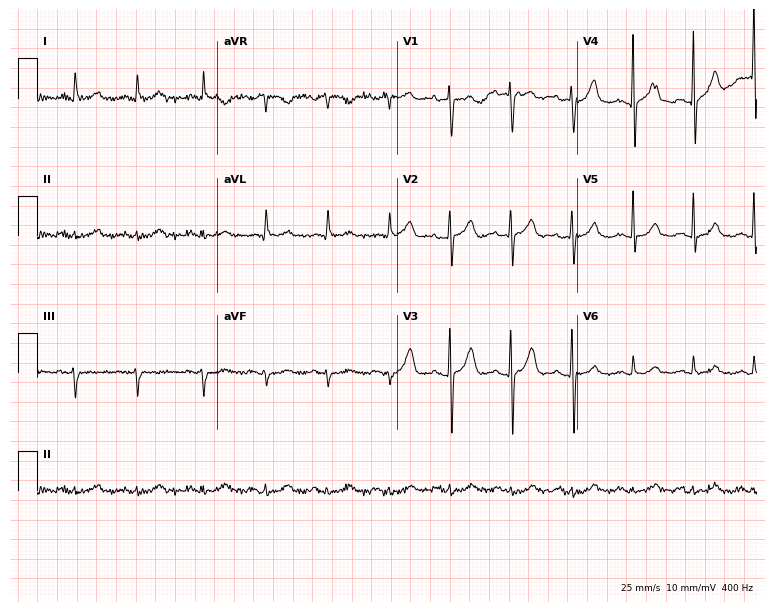
ECG (7.3-second recording at 400 Hz) — a man, 68 years old. Screened for six findings — first-degree AV block, right bundle branch block (RBBB), left bundle branch block (LBBB), sinus bradycardia, atrial fibrillation (AF), sinus tachycardia — none is recorded. Only these six findings were labelled.